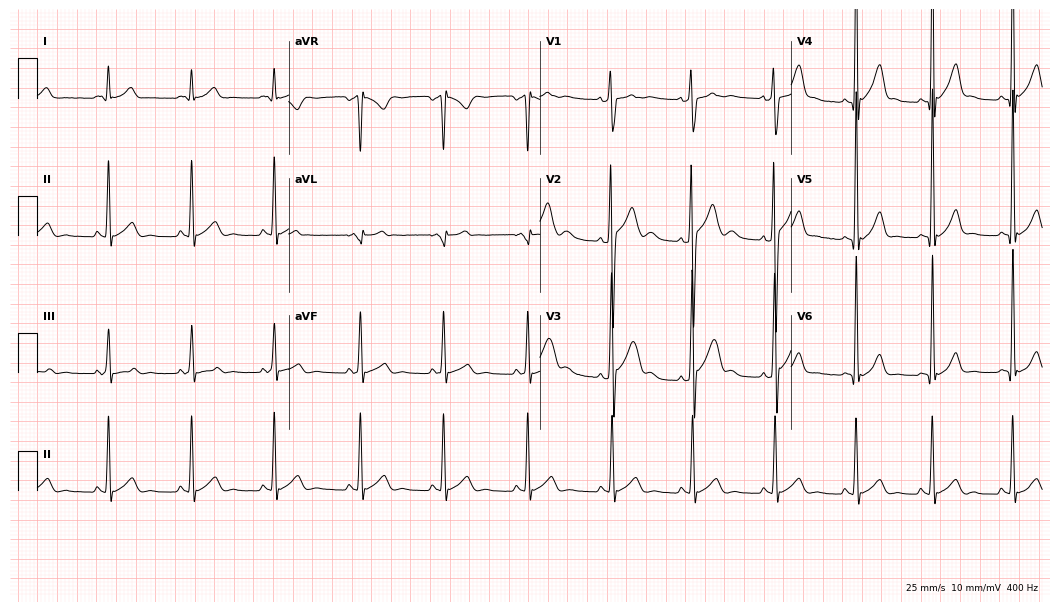
12-lead ECG from a male, 19 years old (10.2-second recording at 400 Hz). Recorded interpretation: within normal limits.